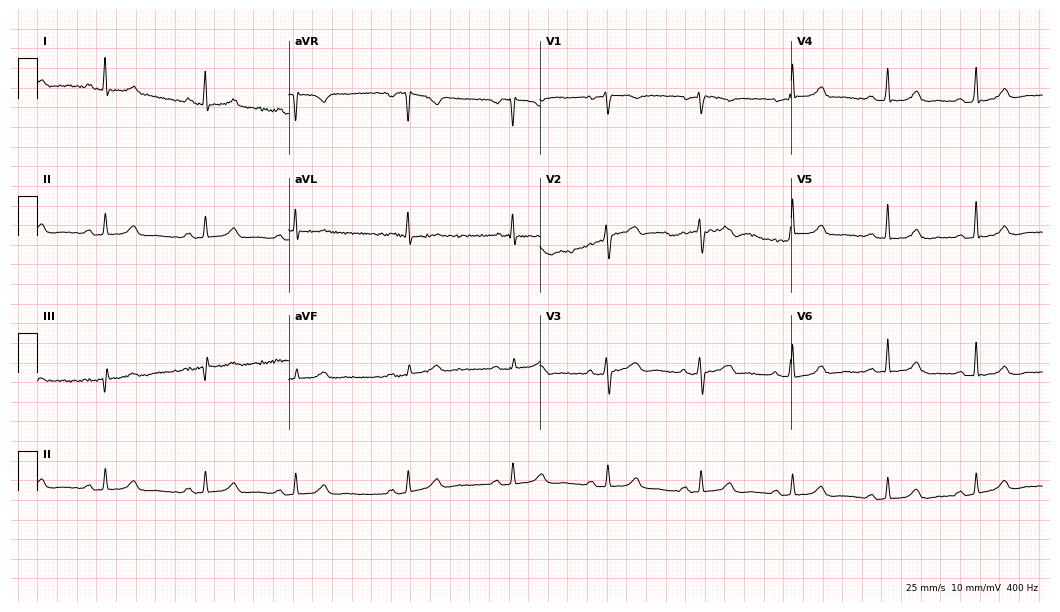
Electrocardiogram (10.2-second recording at 400 Hz), a female, 49 years old. Overall reading on record: normal ECG.